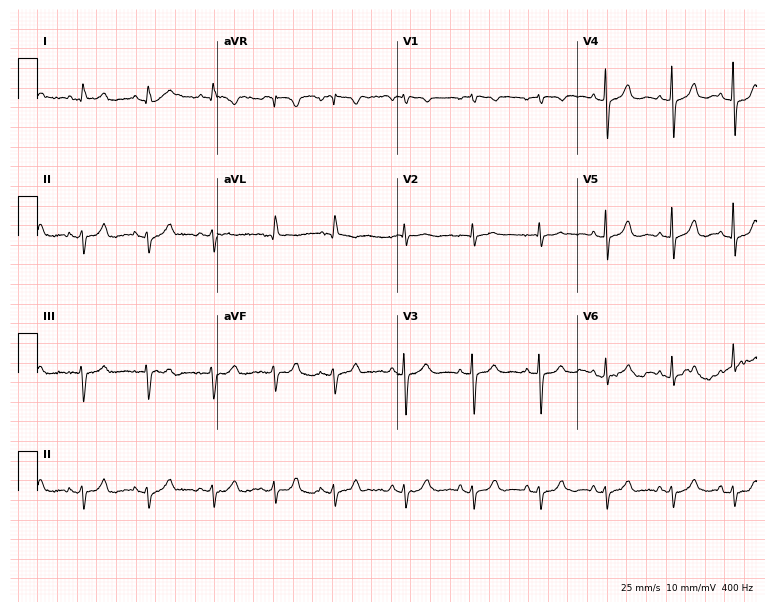
12-lead ECG from a woman aged 90 or older. Screened for six findings — first-degree AV block, right bundle branch block, left bundle branch block, sinus bradycardia, atrial fibrillation, sinus tachycardia — none is recorded.